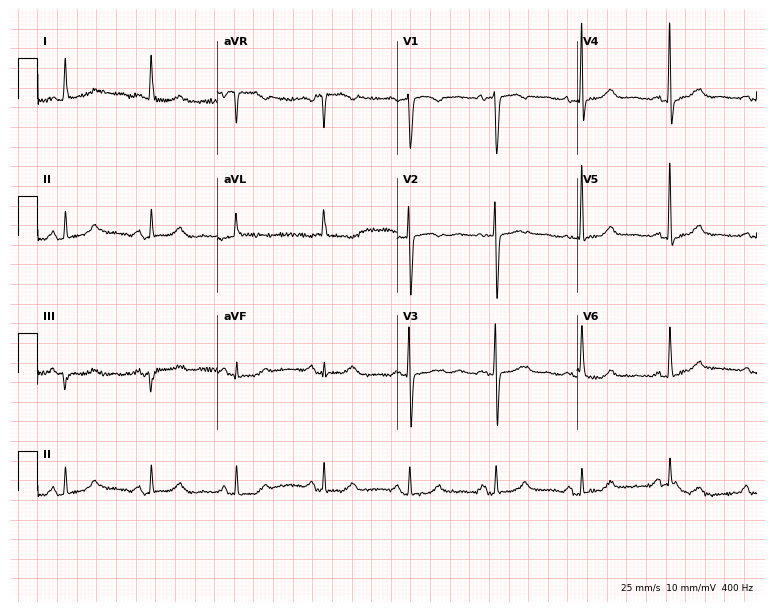
12-lead ECG from a female patient, 75 years old. Screened for six findings — first-degree AV block, right bundle branch block, left bundle branch block, sinus bradycardia, atrial fibrillation, sinus tachycardia — none is recorded.